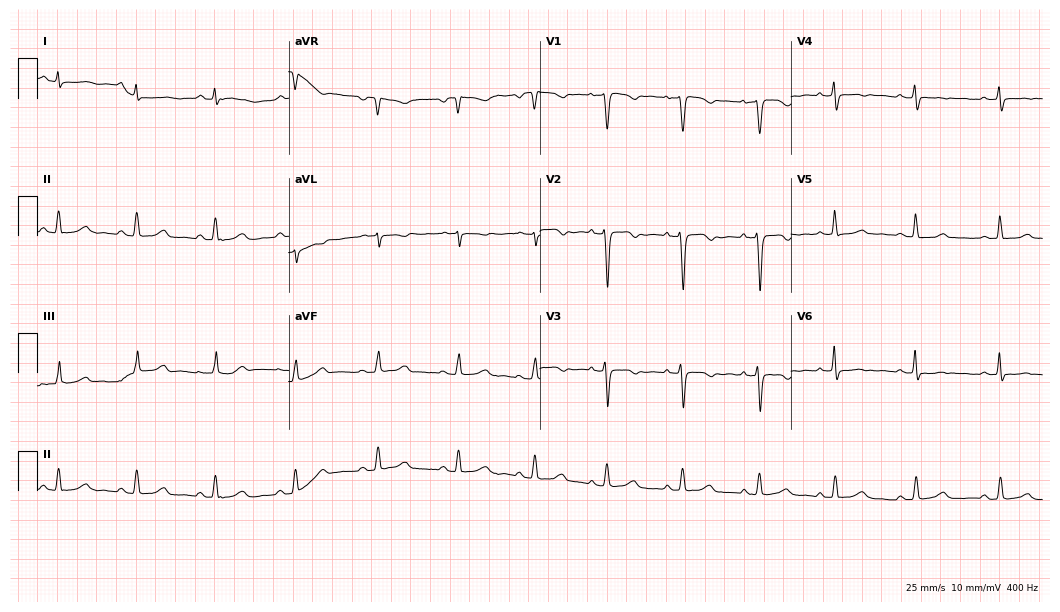
12-lead ECG from a 42-year-old female patient. Labelled as a normal ECG.